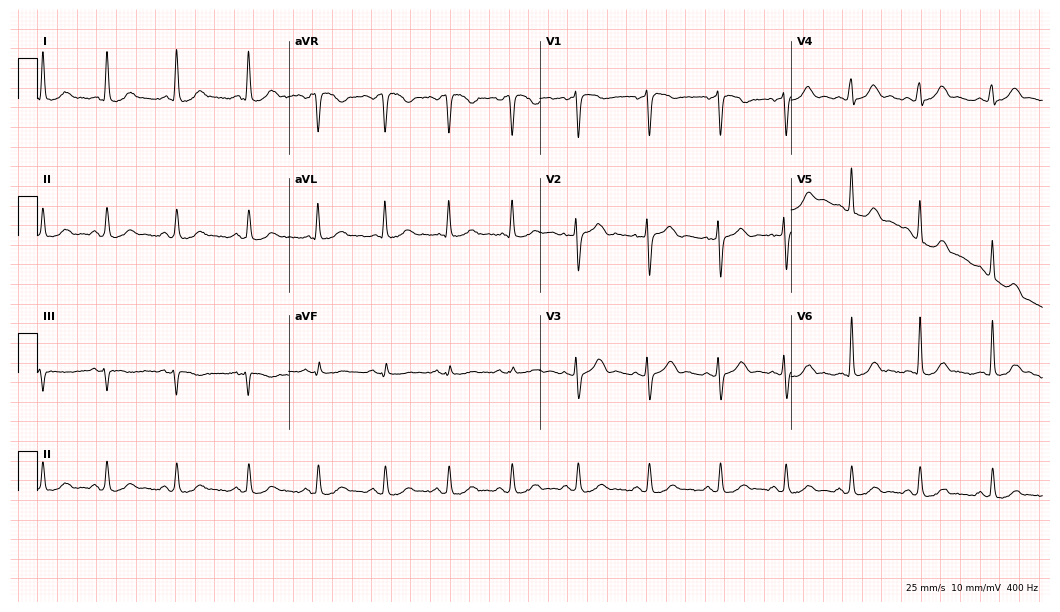
ECG — a woman, 41 years old. Labelled as a normal ECG.